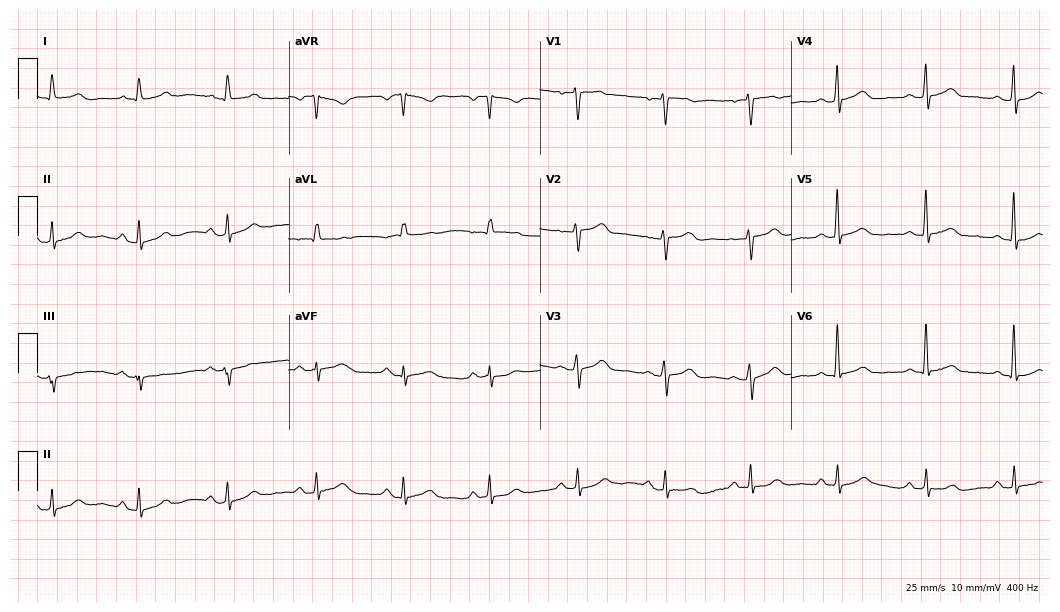
Resting 12-lead electrocardiogram (10.2-second recording at 400 Hz). Patient: a 75-year-old female. Read as a normal ECG.